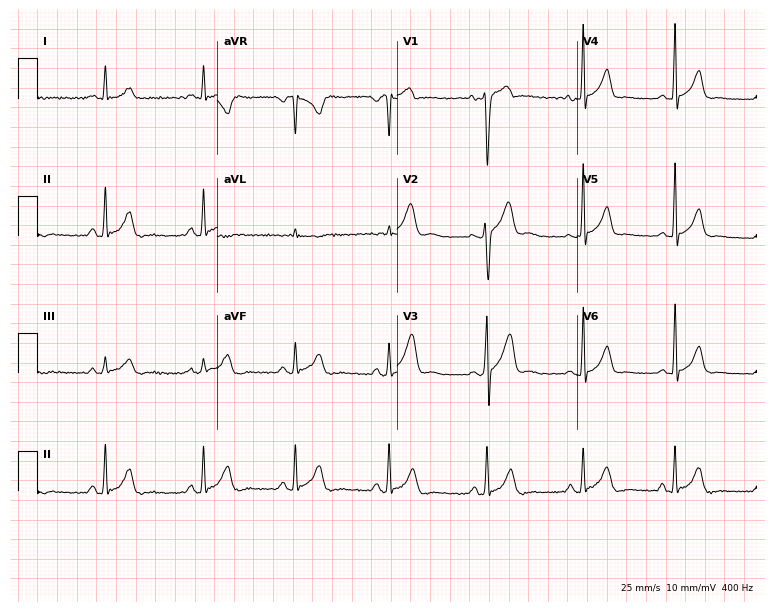
ECG (7.3-second recording at 400 Hz) — a 22-year-old male patient. Screened for six findings — first-degree AV block, right bundle branch block, left bundle branch block, sinus bradycardia, atrial fibrillation, sinus tachycardia — none is recorded.